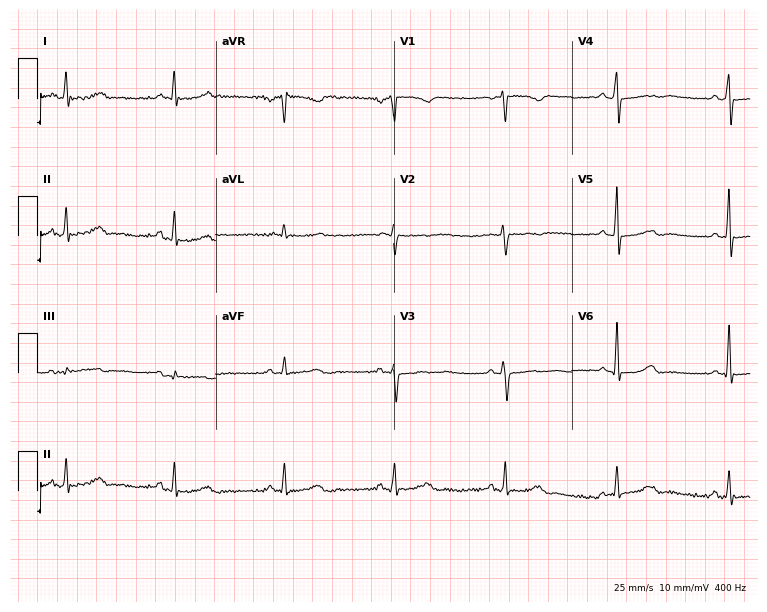
Electrocardiogram, a woman, 51 years old. Of the six screened findings (first-degree AV block, right bundle branch block, left bundle branch block, sinus bradycardia, atrial fibrillation, sinus tachycardia), none is recorded. Only these six findings were labelled.